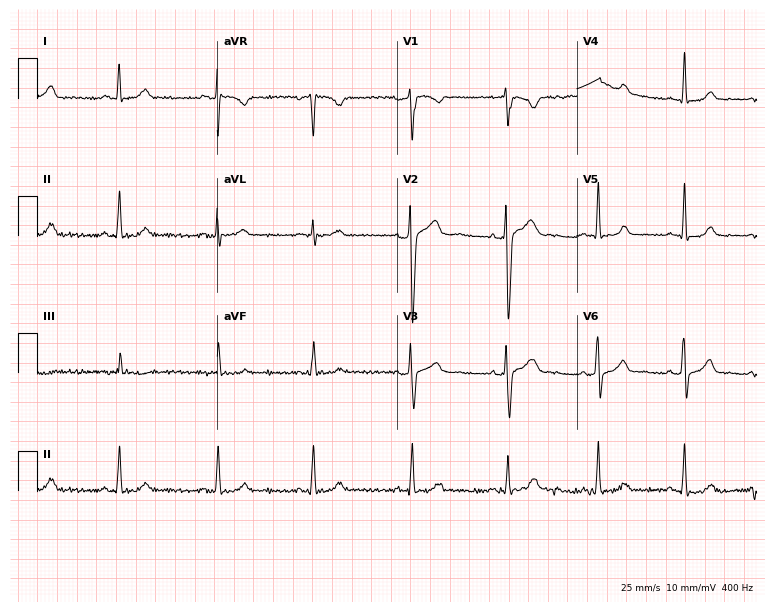
Resting 12-lead electrocardiogram (7.3-second recording at 400 Hz). Patient: a 32-year-old male. Read as a normal ECG.